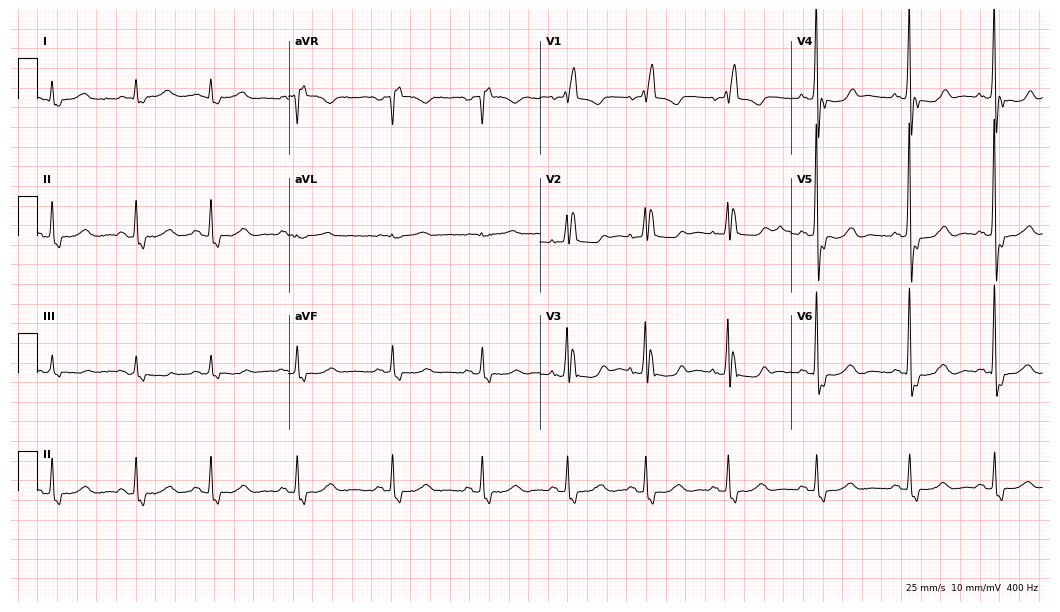
Electrocardiogram, an 82-year-old male. Of the six screened findings (first-degree AV block, right bundle branch block, left bundle branch block, sinus bradycardia, atrial fibrillation, sinus tachycardia), none is recorded.